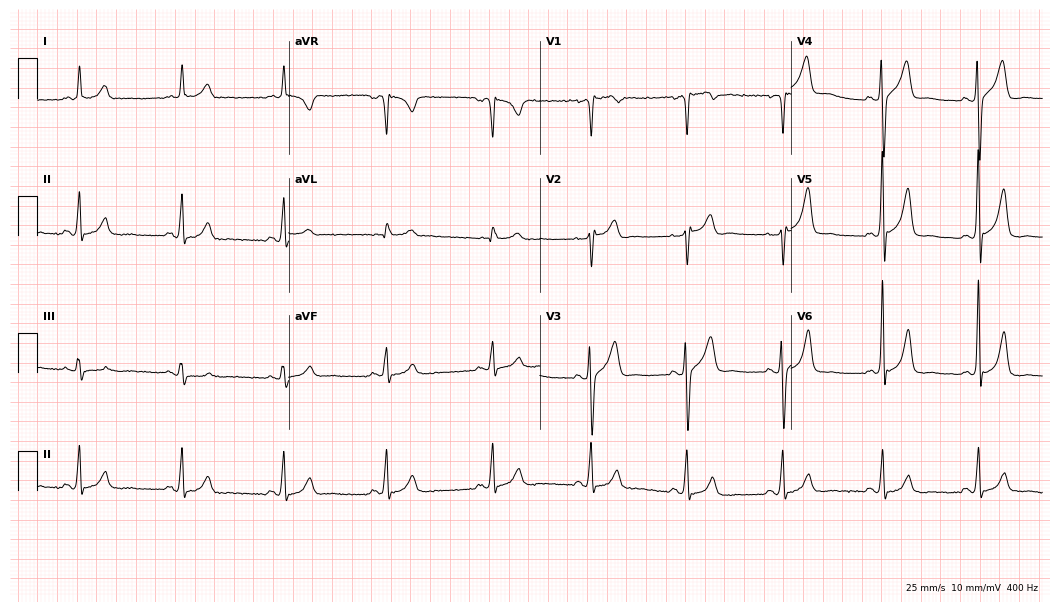
ECG — a man, 49 years old. Labelled as a normal ECG.